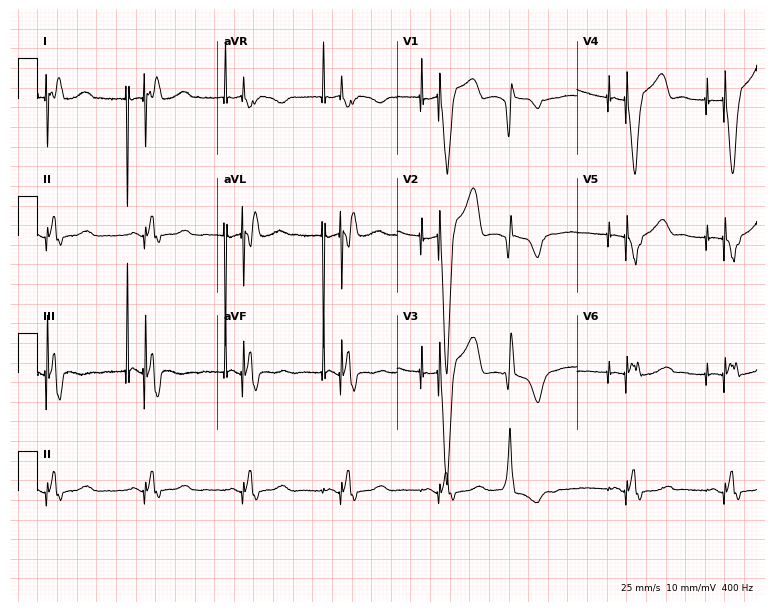
Resting 12-lead electrocardiogram (7.3-second recording at 400 Hz). Patient: a 55-year-old female. None of these six findings is recorded: first-degree AV block, right bundle branch block, left bundle branch block, sinus bradycardia, atrial fibrillation, sinus tachycardia.